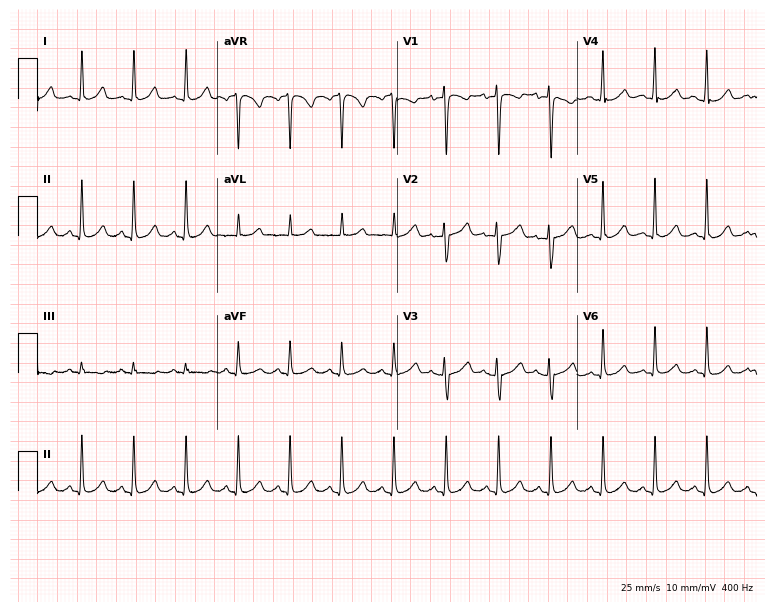
12-lead ECG (7.3-second recording at 400 Hz) from a 32-year-old female patient. Findings include sinus tachycardia (a sinus rate of 100 beats per minute or more).